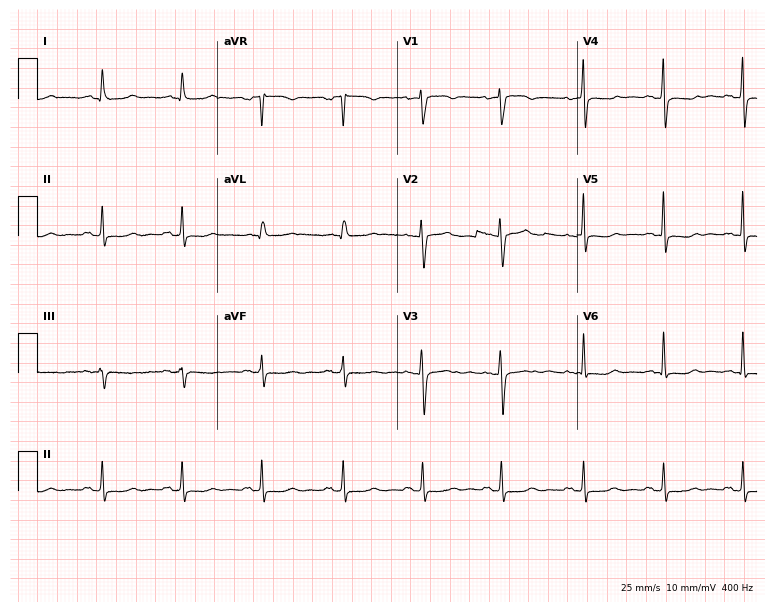
Electrocardiogram (7.3-second recording at 400 Hz), a woman, 46 years old. Of the six screened findings (first-degree AV block, right bundle branch block, left bundle branch block, sinus bradycardia, atrial fibrillation, sinus tachycardia), none is recorded. Other findings, if any, are not listed.